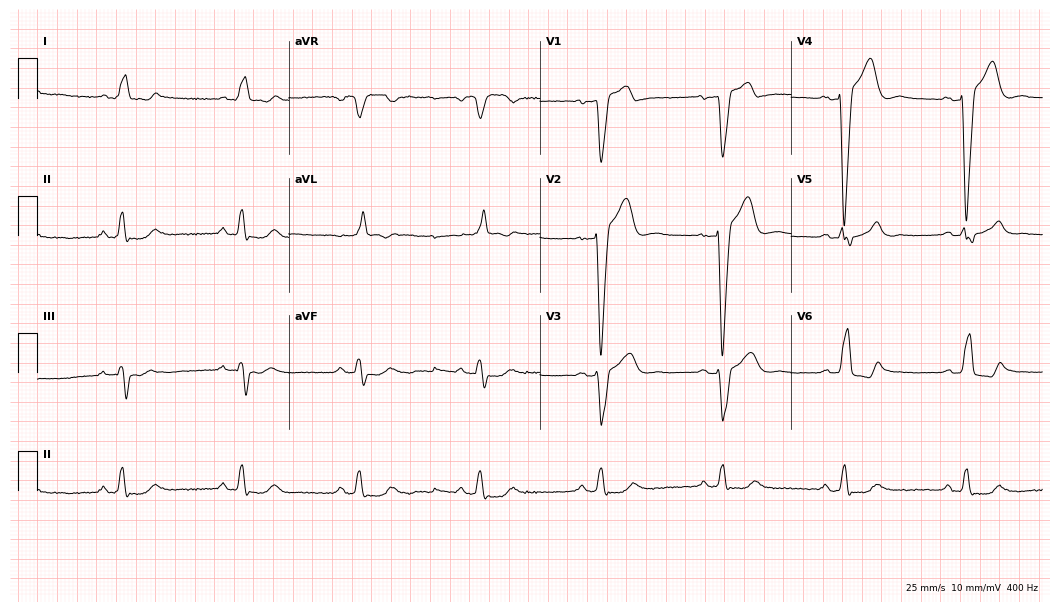
Standard 12-lead ECG recorded from a 58-year-old man (10.2-second recording at 400 Hz). The tracing shows right bundle branch block, left bundle branch block, sinus bradycardia (a sinus rate of 50 beats per minute or less).